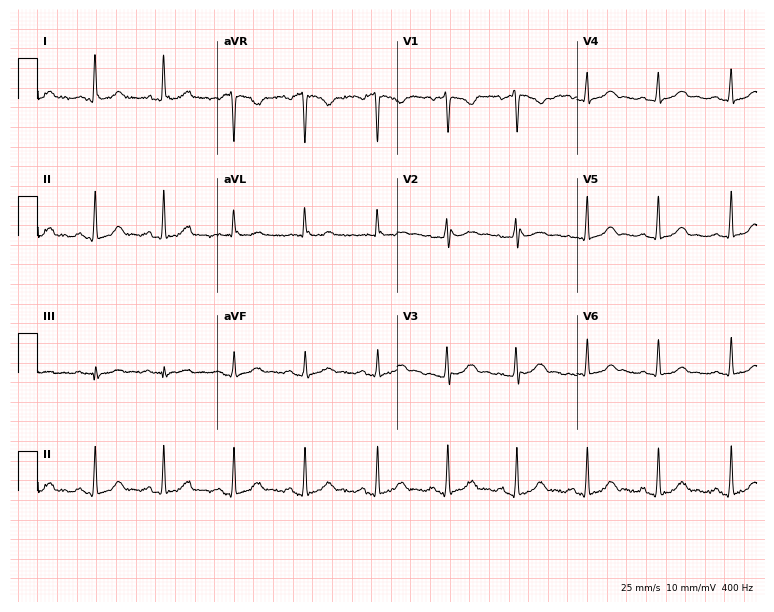
Electrocardiogram, a female, 27 years old. Overall reading on record: normal ECG.